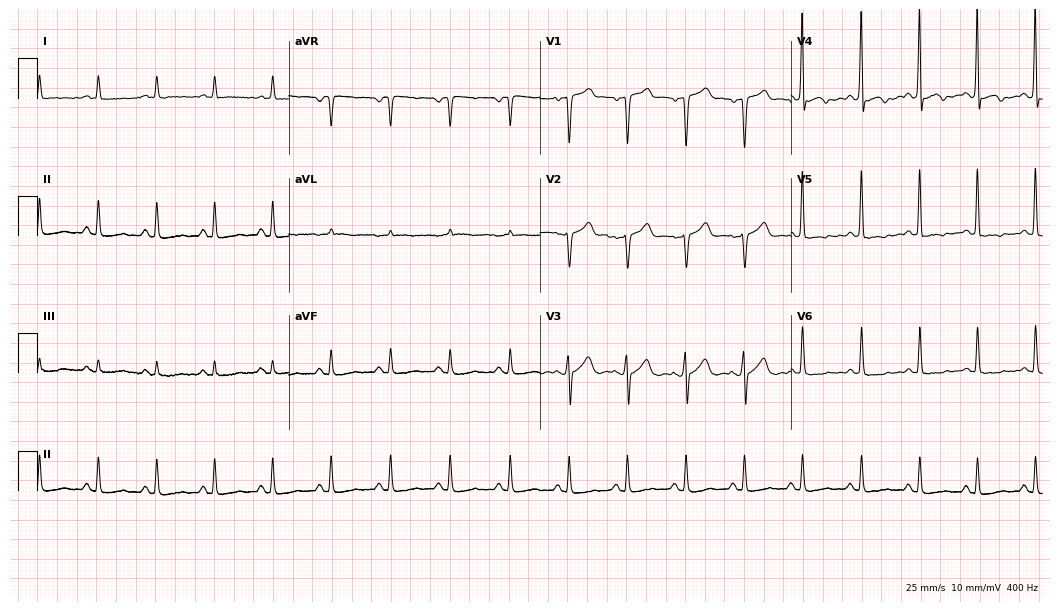
12-lead ECG from a man, 72 years old. Findings include sinus tachycardia (a sinus rate of 100 beats per minute or more).